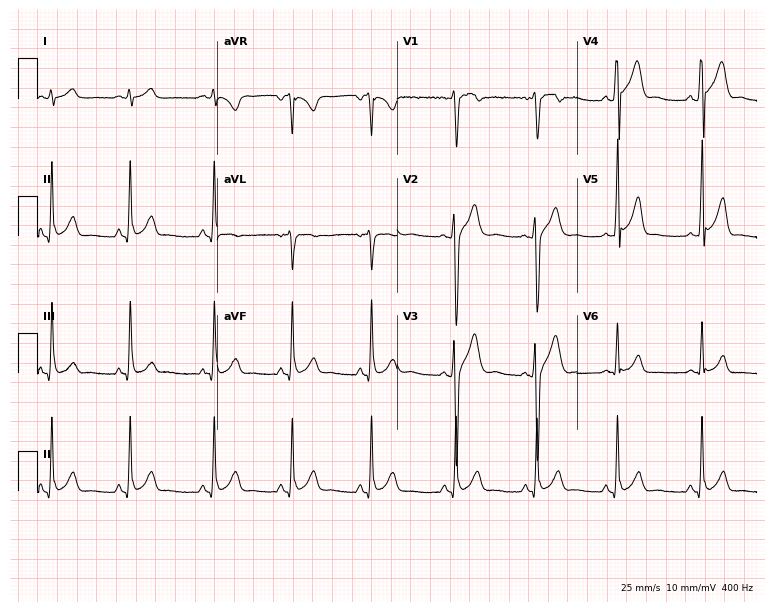
Electrocardiogram (7.3-second recording at 400 Hz), a 20-year-old man. Overall reading on record: normal ECG.